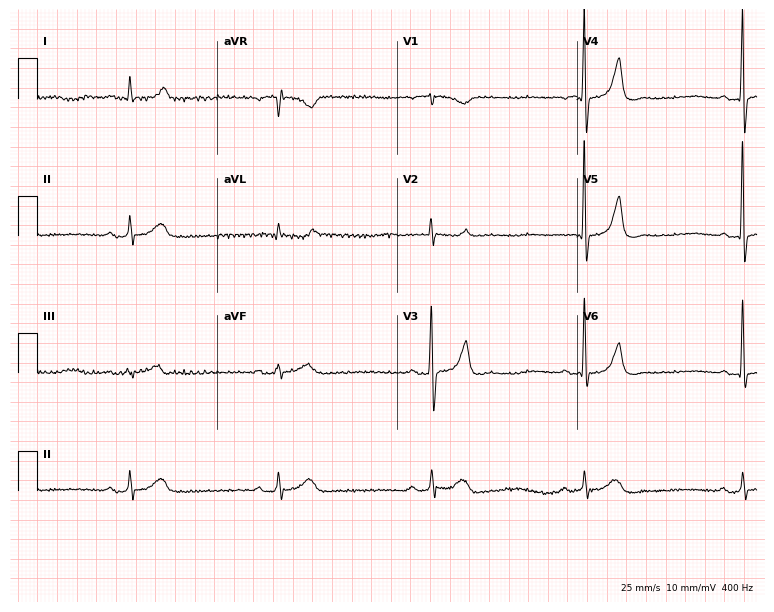
Resting 12-lead electrocardiogram. Patient: a 71-year-old male. The tracing shows sinus bradycardia (a sinus rate of 50 beats per minute or less).